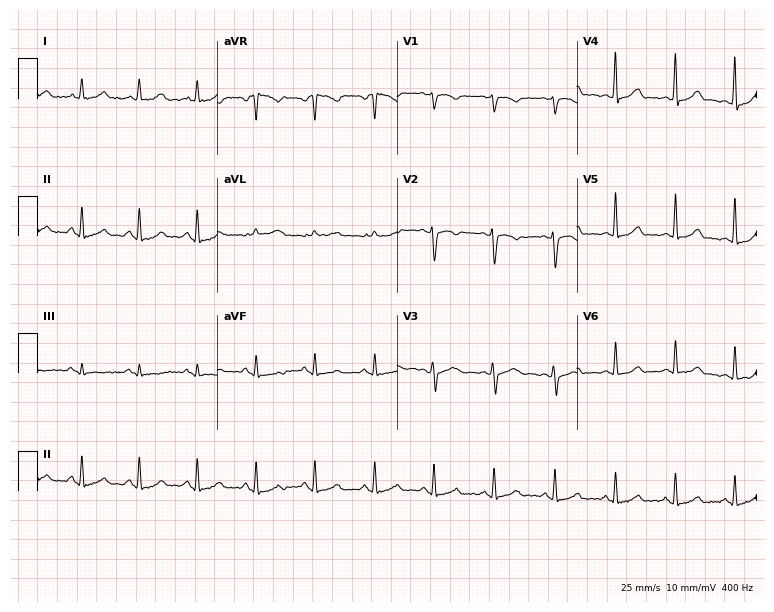
12-lead ECG (7.3-second recording at 400 Hz) from a 37-year-old woman. Screened for six findings — first-degree AV block, right bundle branch block (RBBB), left bundle branch block (LBBB), sinus bradycardia, atrial fibrillation (AF), sinus tachycardia — none is recorded.